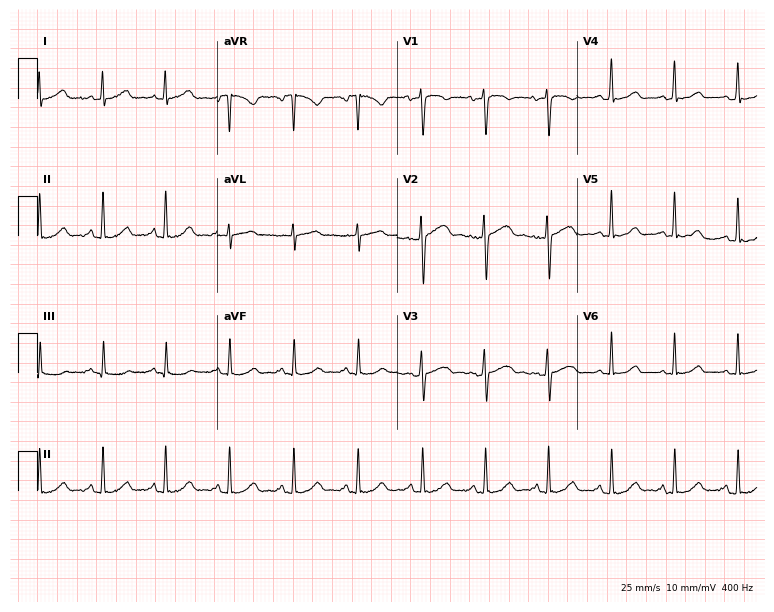
ECG (7.3-second recording at 400 Hz) — a 48-year-old female patient. Labelled as a normal ECG.